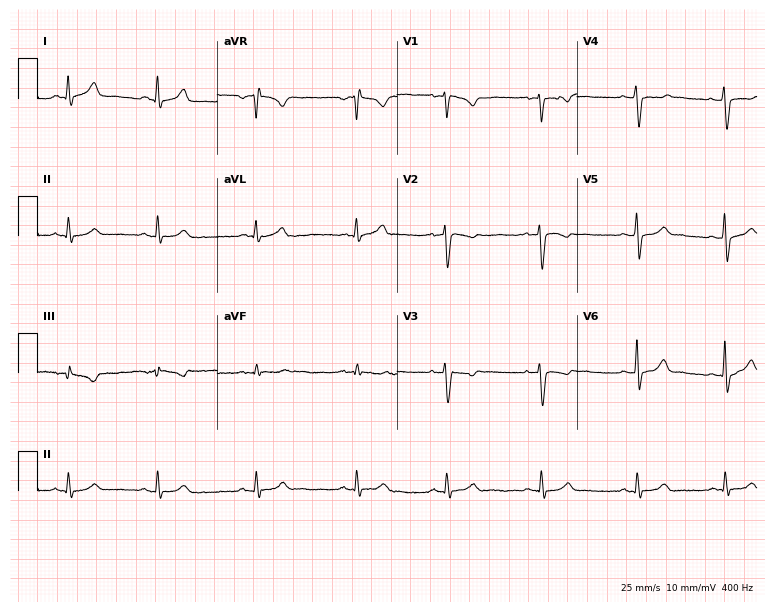
12-lead ECG from a 29-year-old female patient. Screened for six findings — first-degree AV block, right bundle branch block (RBBB), left bundle branch block (LBBB), sinus bradycardia, atrial fibrillation (AF), sinus tachycardia — none is recorded. Only these six findings were labelled.